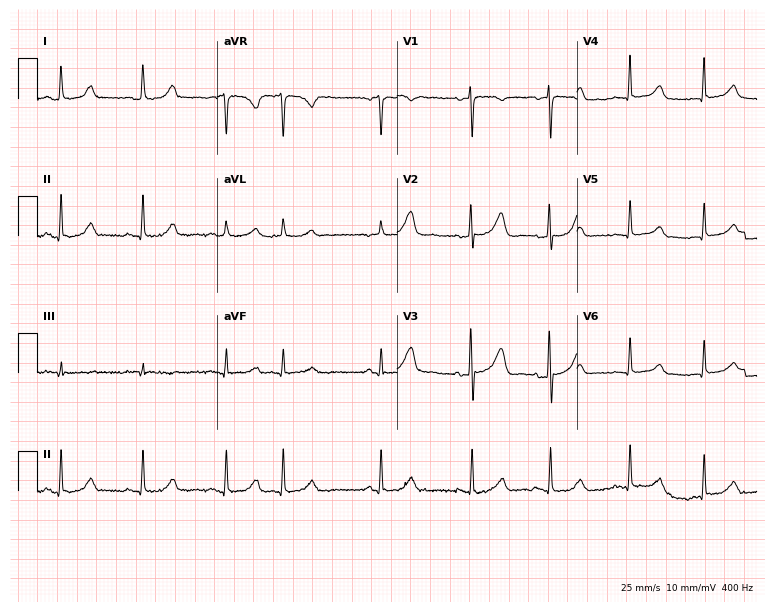
Standard 12-lead ECG recorded from a 67-year-old woman (7.3-second recording at 400 Hz). Read as a normal ECG.